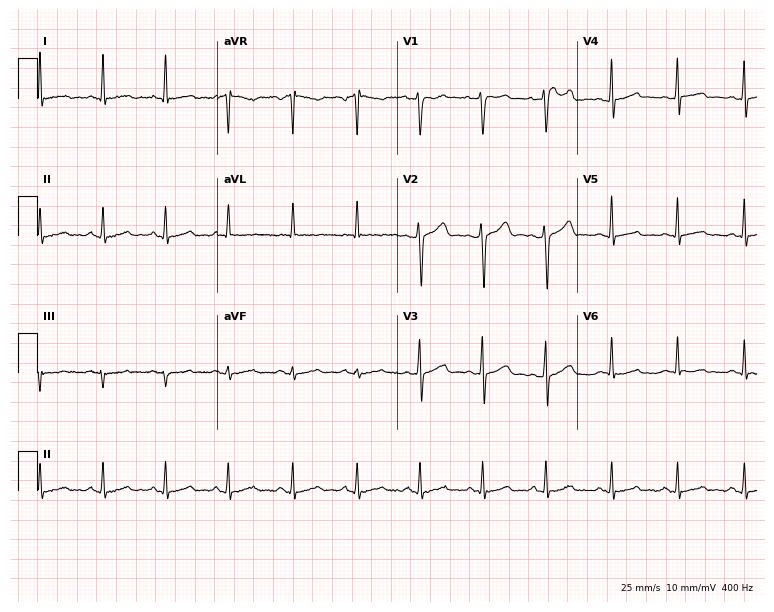
Electrocardiogram, a man, 48 years old. Of the six screened findings (first-degree AV block, right bundle branch block, left bundle branch block, sinus bradycardia, atrial fibrillation, sinus tachycardia), none is recorded. Findings outside these six are not listed.